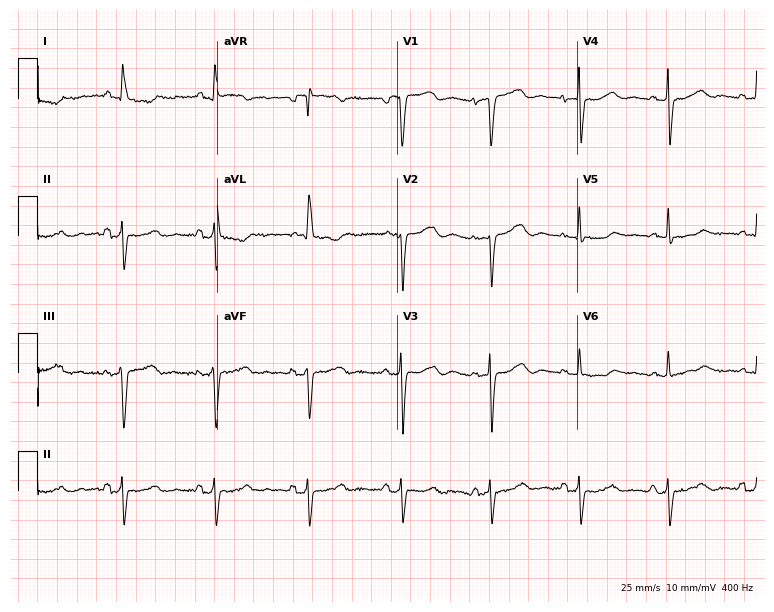
12-lead ECG from a female, 71 years old. Labelled as a normal ECG.